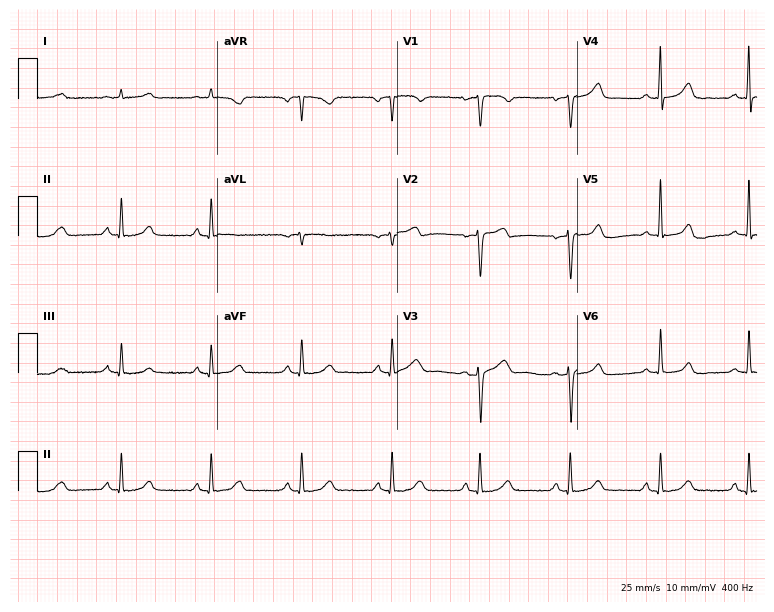
Resting 12-lead electrocardiogram. Patient: a 56-year-old woman. Read as a normal ECG.